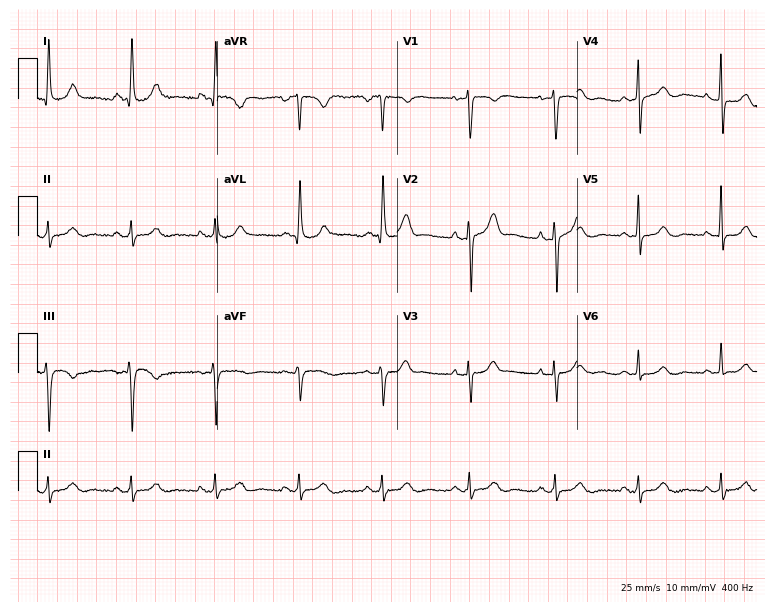
Resting 12-lead electrocardiogram. Patient: a 73-year-old man. None of these six findings is recorded: first-degree AV block, right bundle branch block, left bundle branch block, sinus bradycardia, atrial fibrillation, sinus tachycardia.